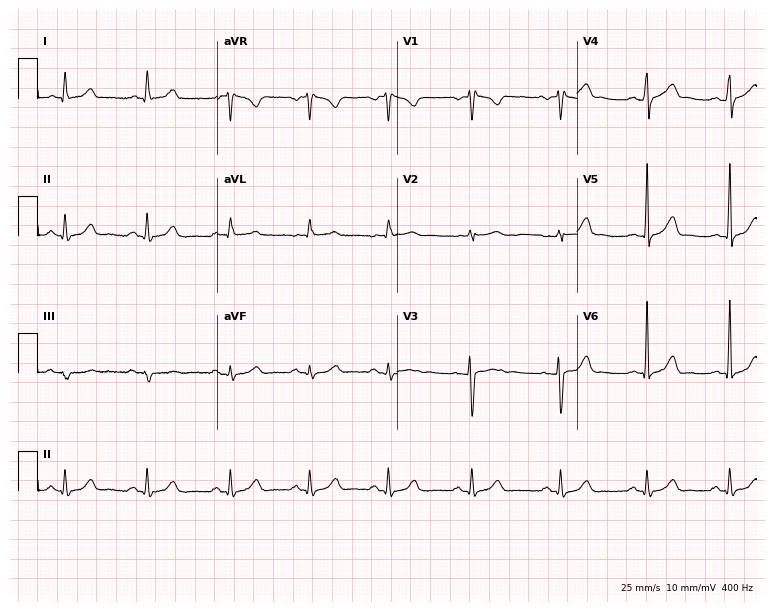
Electrocardiogram (7.3-second recording at 400 Hz), a woman, 35 years old. Overall reading on record: normal ECG.